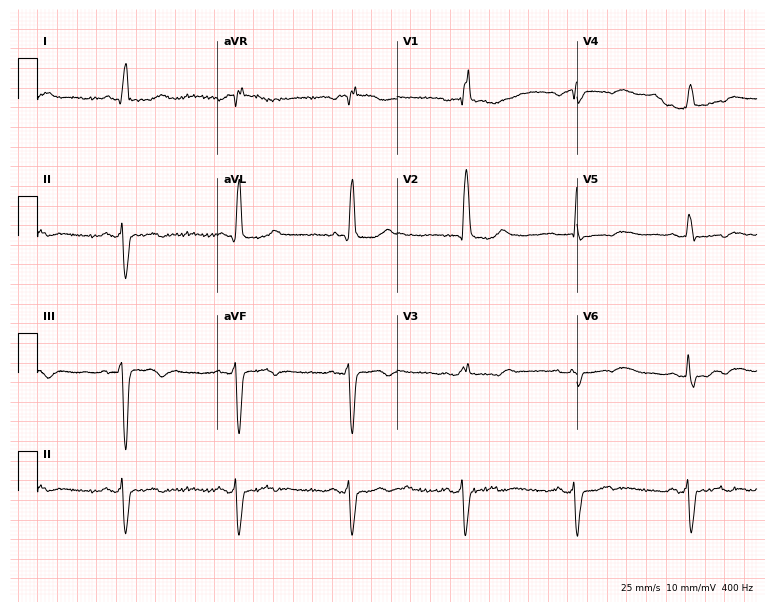
ECG — a female patient, 88 years old. Screened for six findings — first-degree AV block, right bundle branch block (RBBB), left bundle branch block (LBBB), sinus bradycardia, atrial fibrillation (AF), sinus tachycardia — none is recorded. Other findings, if any, are not listed.